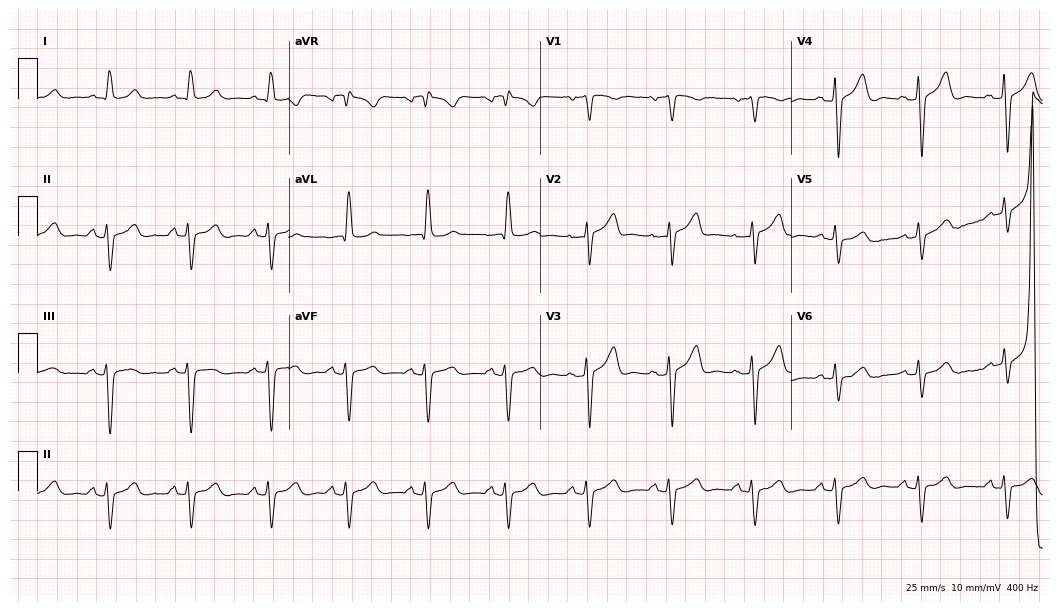
12-lead ECG from a man, 76 years old (10.2-second recording at 400 Hz). No first-degree AV block, right bundle branch block, left bundle branch block, sinus bradycardia, atrial fibrillation or sinus tachycardia recorded for this tracing.